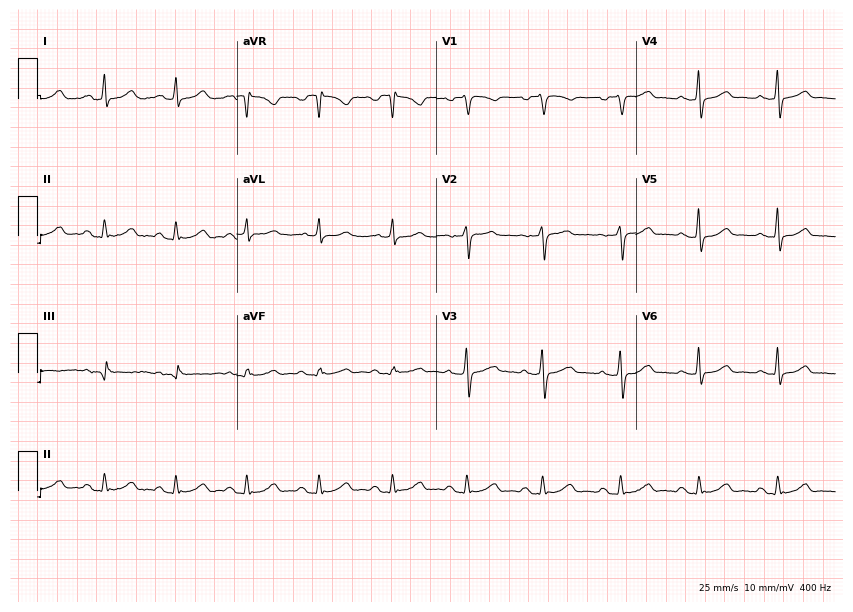
12-lead ECG from a woman, 31 years old. Labelled as a normal ECG.